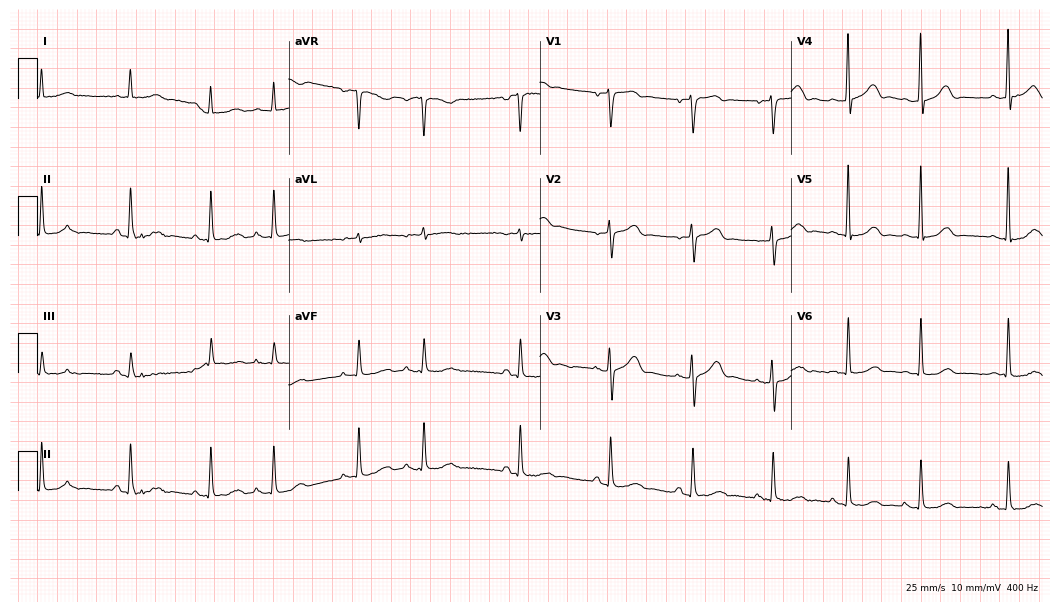
12-lead ECG from an 82-year-old man. Recorded interpretation: within normal limits.